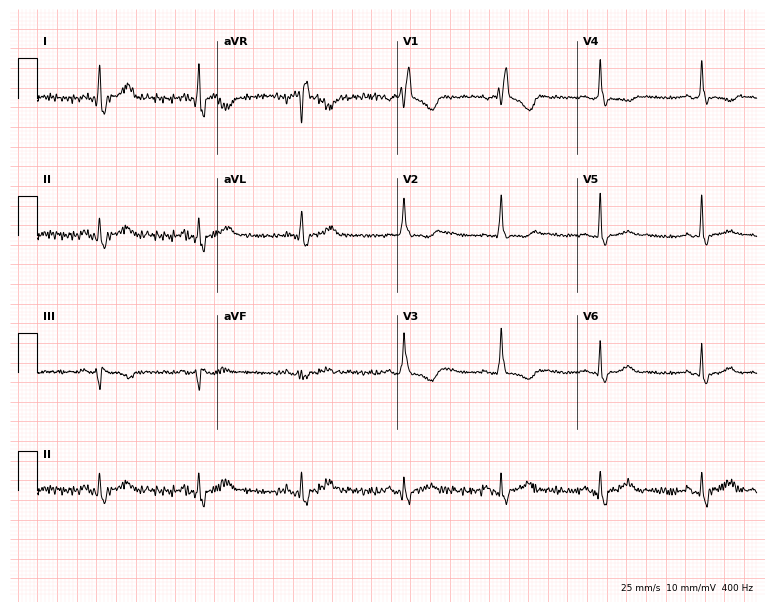
12-lead ECG from a female patient, 52 years old. Shows right bundle branch block.